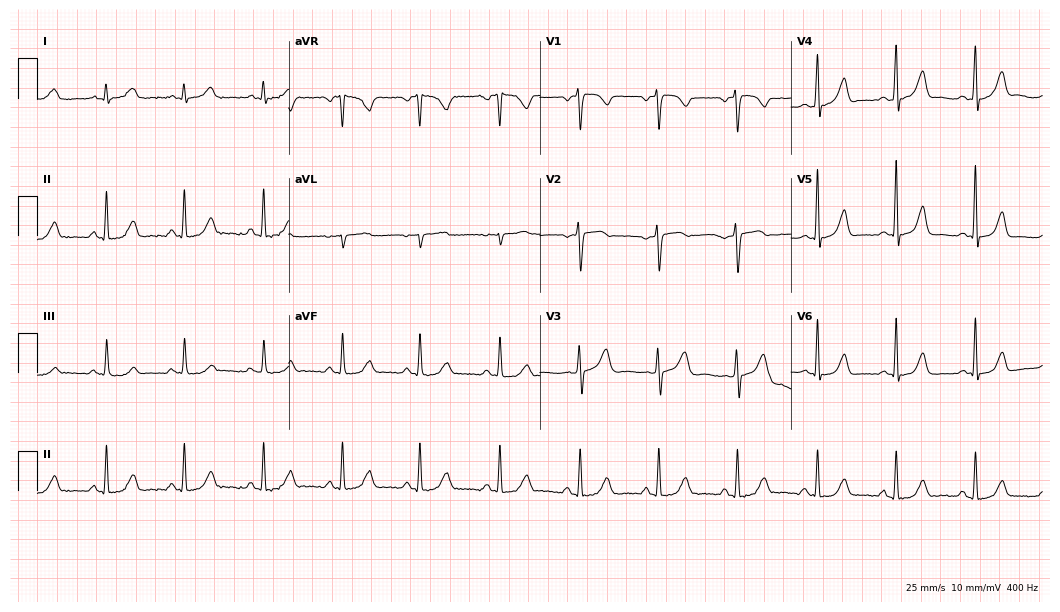
ECG — a female, 44 years old. Screened for six findings — first-degree AV block, right bundle branch block (RBBB), left bundle branch block (LBBB), sinus bradycardia, atrial fibrillation (AF), sinus tachycardia — none is recorded. Other findings, if any, are not listed.